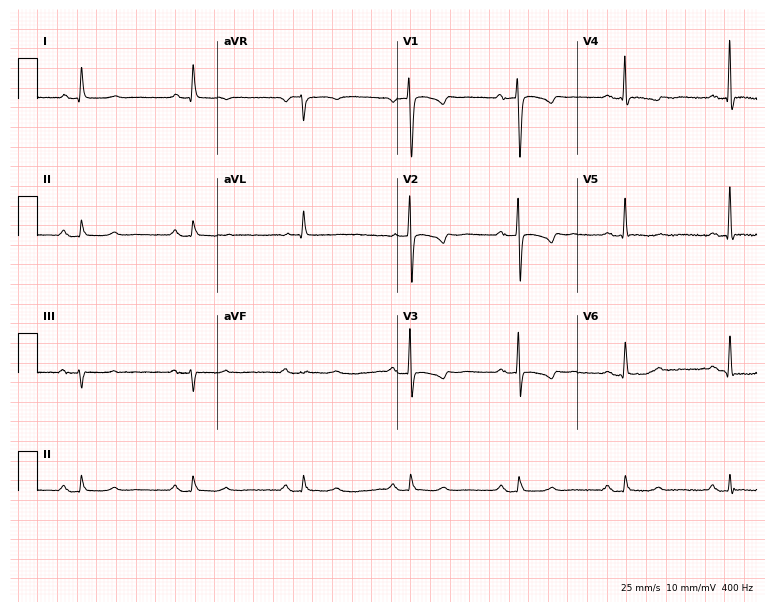
12-lead ECG from a 66-year-old female (7.3-second recording at 400 Hz). No first-degree AV block, right bundle branch block, left bundle branch block, sinus bradycardia, atrial fibrillation or sinus tachycardia recorded for this tracing.